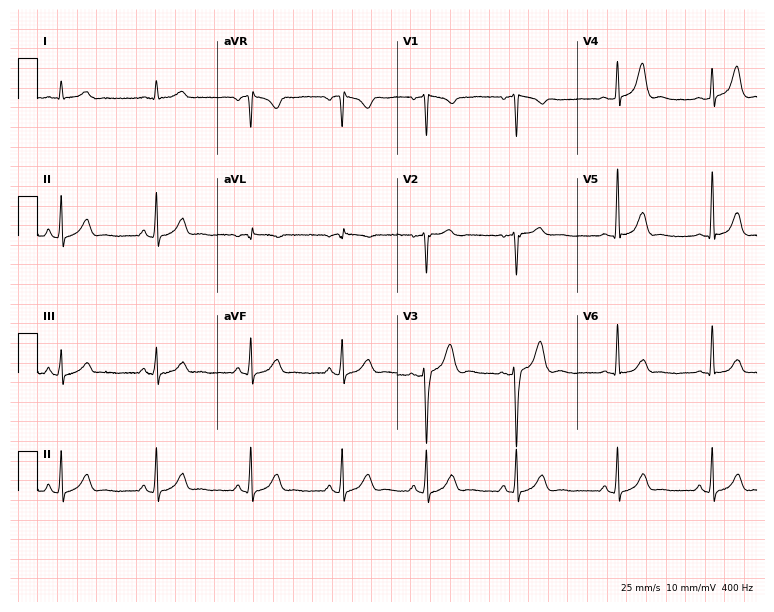
Standard 12-lead ECG recorded from a male, 37 years old (7.3-second recording at 400 Hz). Read as a normal ECG.